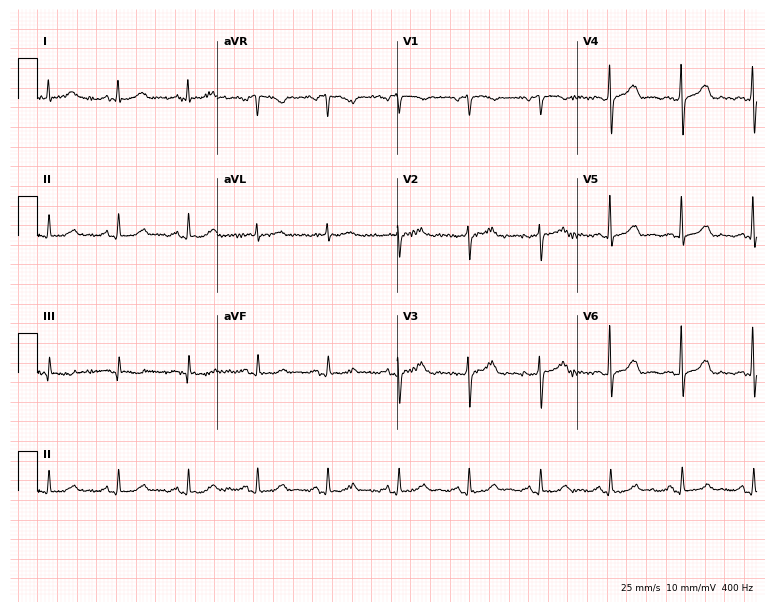
Standard 12-lead ECG recorded from a 68-year-old female. Read as a normal ECG.